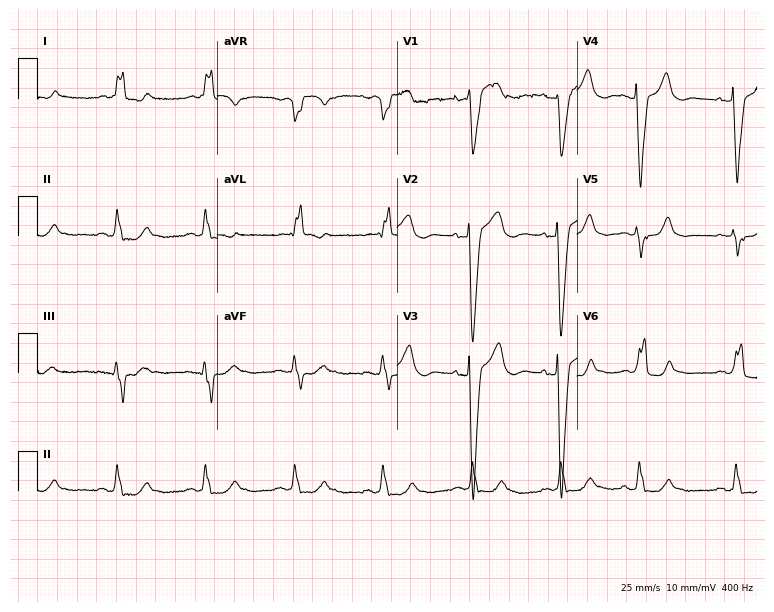
12-lead ECG (7.3-second recording at 400 Hz) from an 81-year-old female patient. Findings include left bundle branch block.